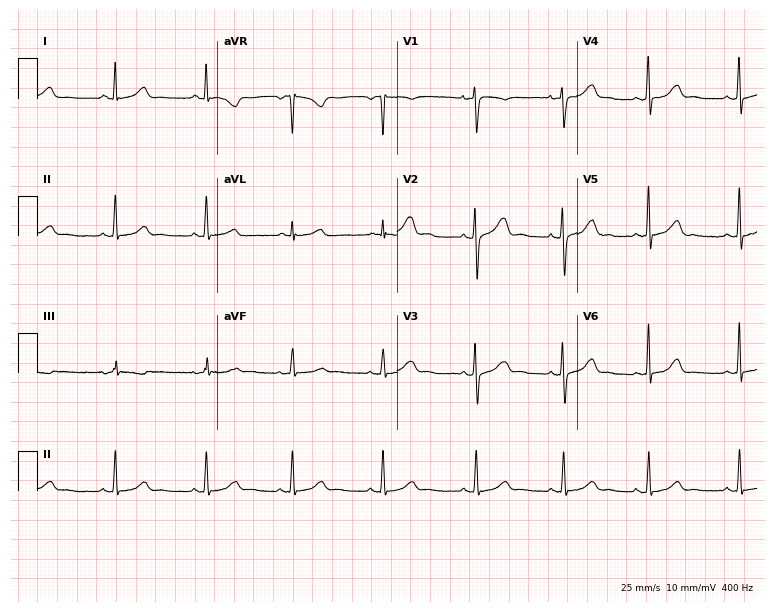
Standard 12-lead ECG recorded from a female patient, 20 years old. Read as a normal ECG.